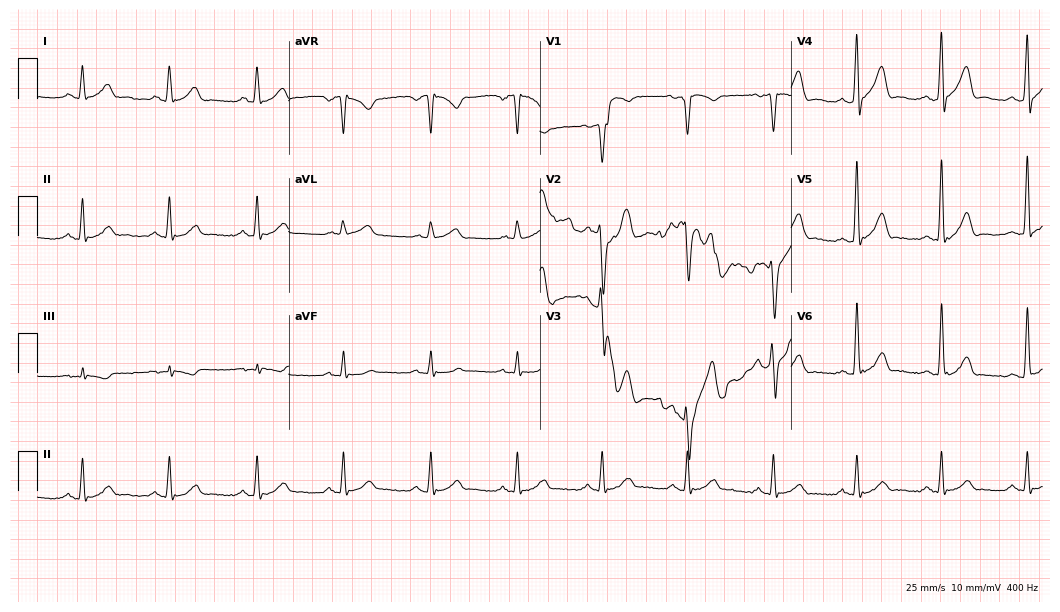
ECG — a male, 50 years old. Labelled as a normal ECG.